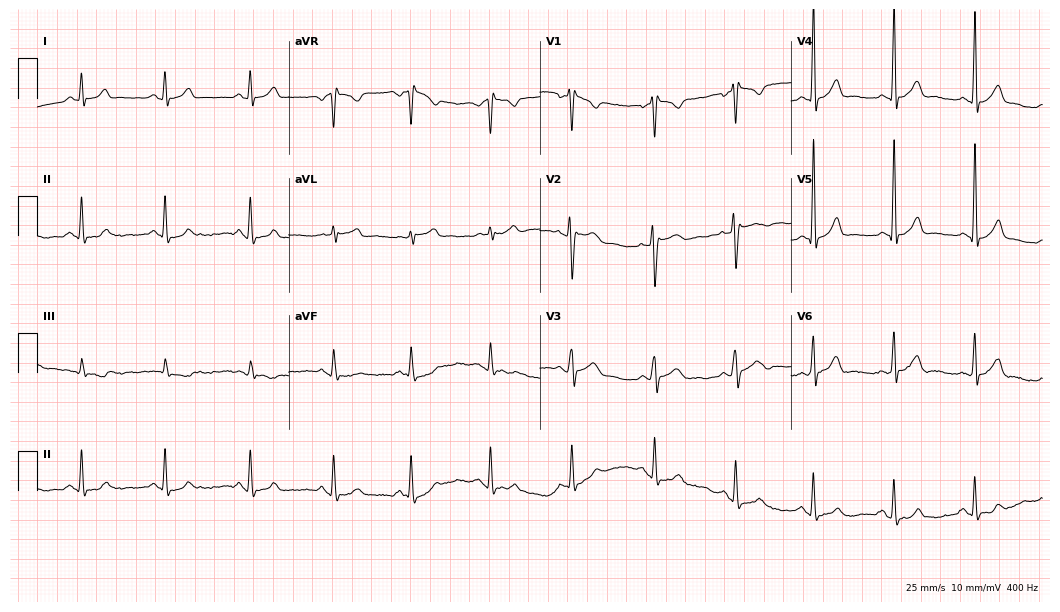
ECG — a male, 21 years old. Screened for six findings — first-degree AV block, right bundle branch block, left bundle branch block, sinus bradycardia, atrial fibrillation, sinus tachycardia — none is recorded.